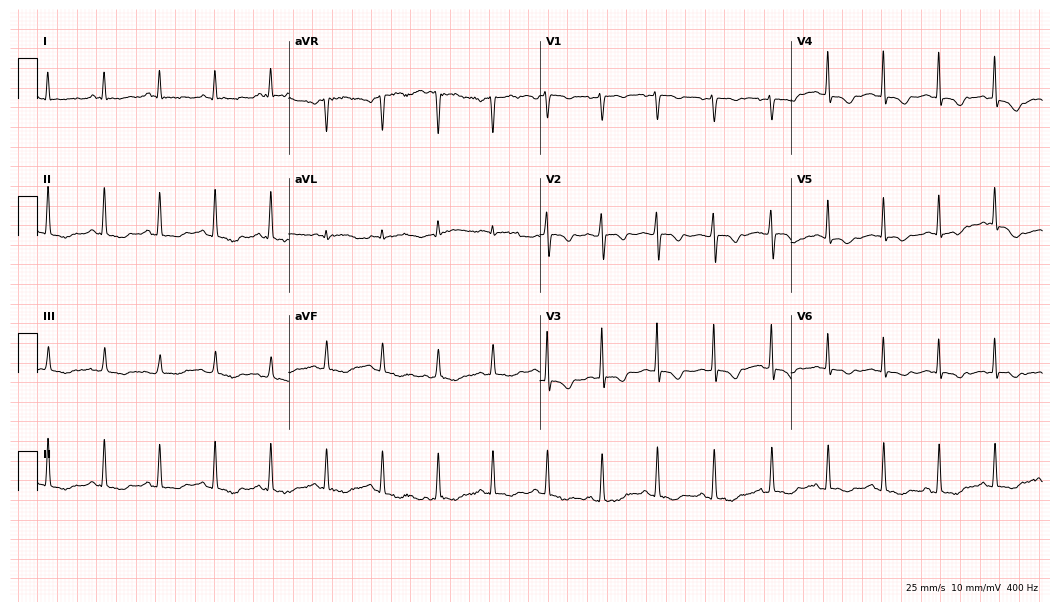
12-lead ECG (10.2-second recording at 400 Hz) from a 28-year-old woman. Screened for six findings — first-degree AV block, right bundle branch block, left bundle branch block, sinus bradycardia, atrial fibrillation, sinus tachycardia — none is recorded.